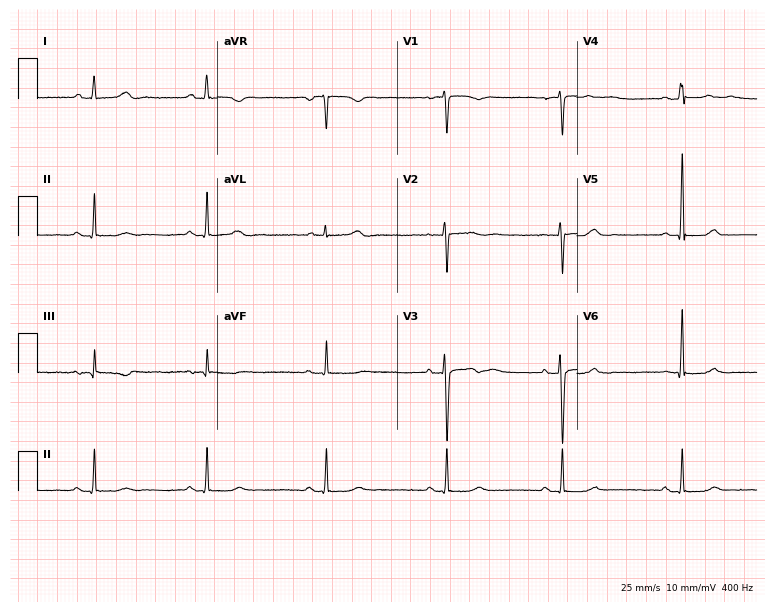
ECG — a 44-year-old female patient. Screened for six findings — first-degree AV block, right bundle branch block, left bundle branch block, sinus bradycardia, atrial fibrillation, sinus tachycardia — none is recorded.